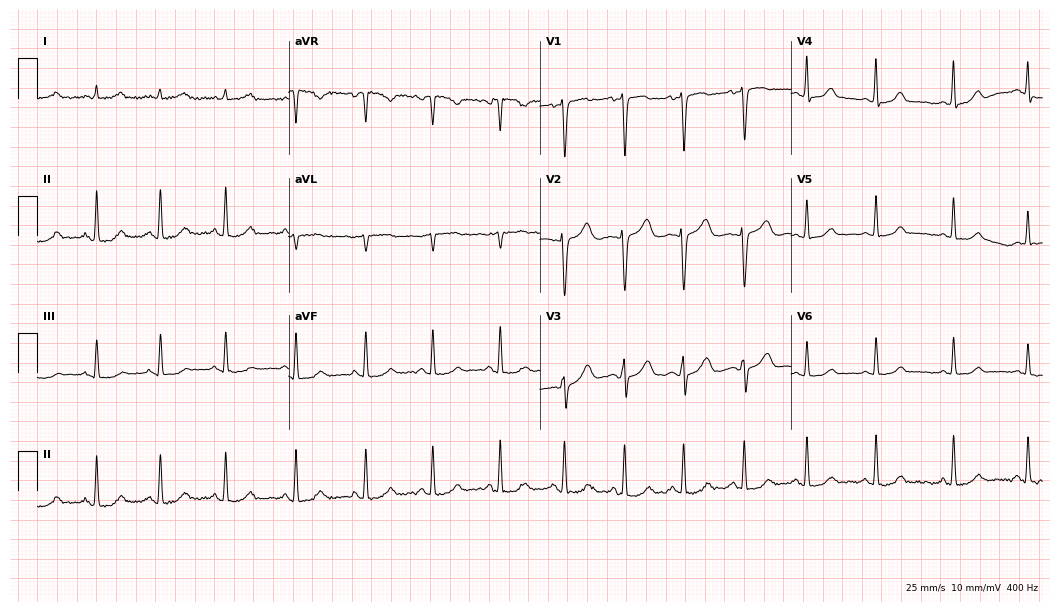
Electrocardiogram (10.2-second recording at 400 Hz), a 29-year-old female patient. Of the six screened findings (first-degree AV block, right bundle branch block (RBBB), left bundle branch block (LBBB), sinus bradycardia, atrial fibrillation (AF), sinus tachycardia), none is recorded.